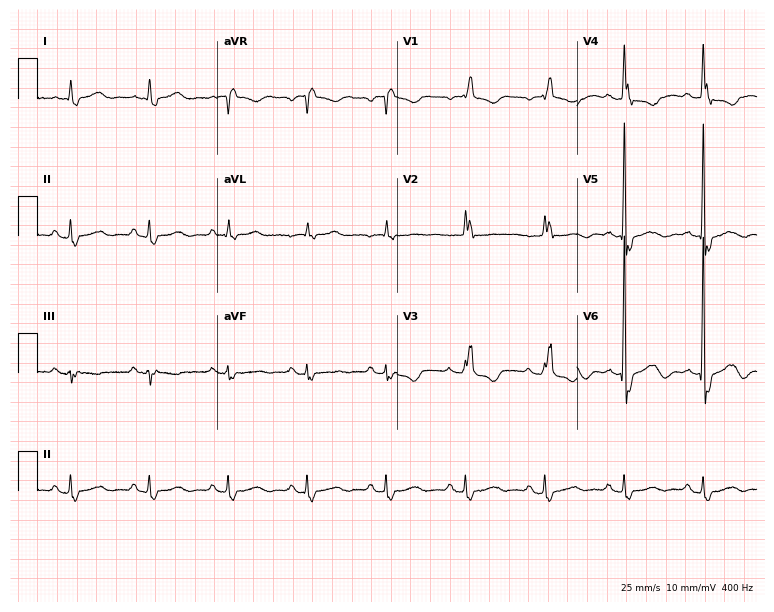
Resting 12-lead electrocardiogram (7.3-second recording at 400 Hz). Patient: an 84-year-old female. The tracing shows right bundle branch block.